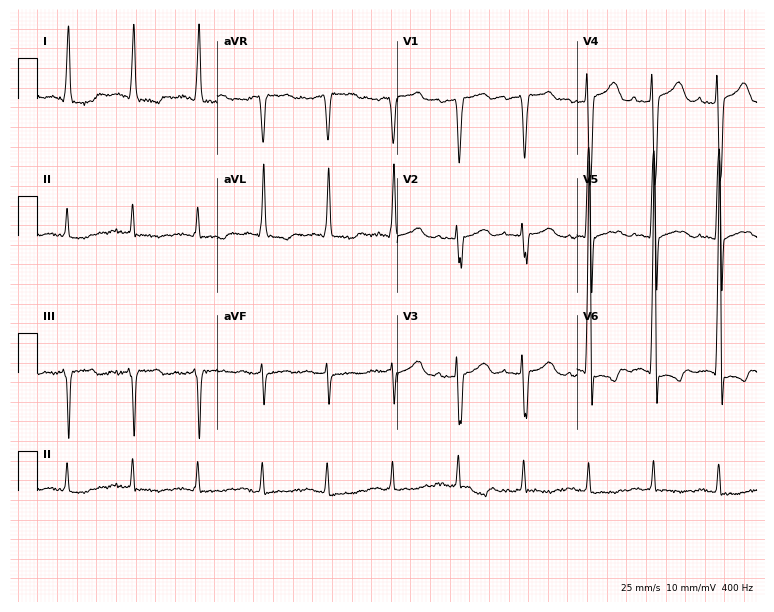
12-lead ECG from a 75-year-old man. Screened for six findings — first-degree AV block, right bundle branch block, left bundle branch block, sinus bradycardia, atrial fibrillation, sinus tachycardia — none is recorded.